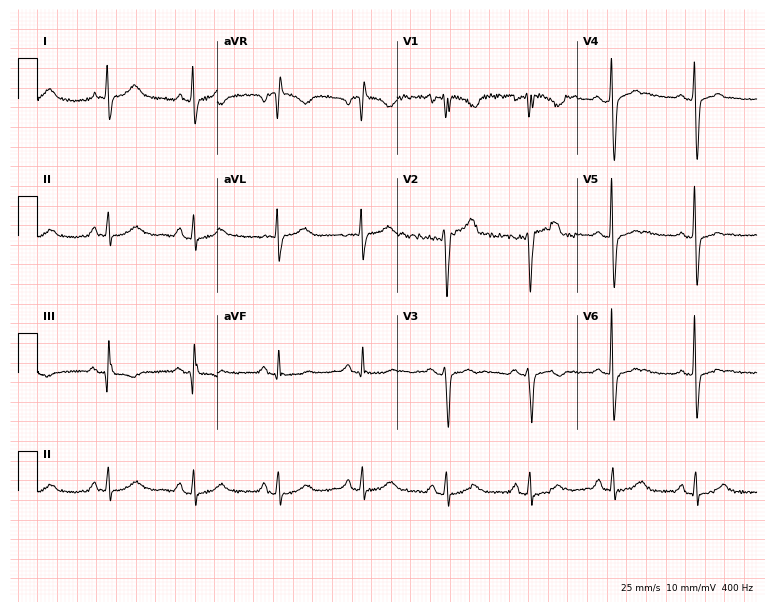
Standard 12-lead ECG recorded from a male, 43 years old (7.3-second recording at 400 Hz). None of these six findings is recorded: first-degree AV block, right bundle branch block (RBBB), left bundle branch block (LBBB), sinus bradycardia, atrial fibrillation (AF), sinus tachycardia. Only these six findings were labelled.